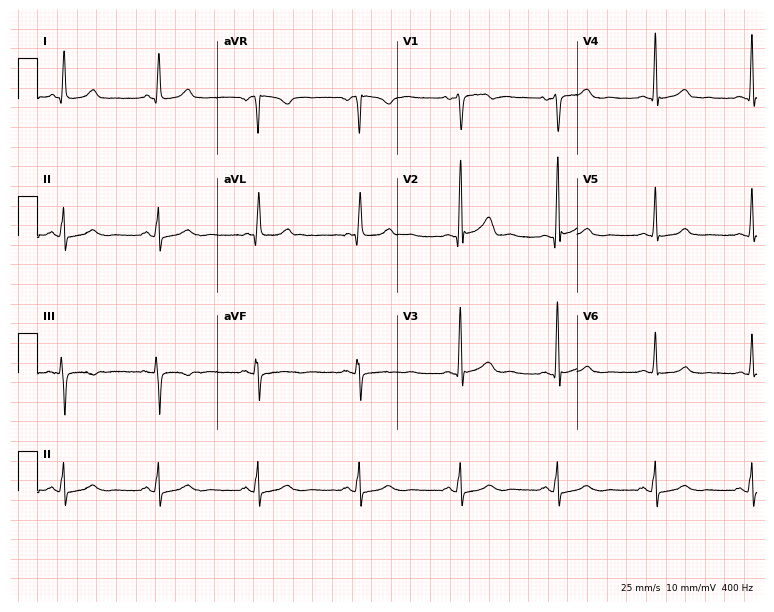
Electrocardiogram, a 49-year-old female patient. Overall reading on record: normal ECG.